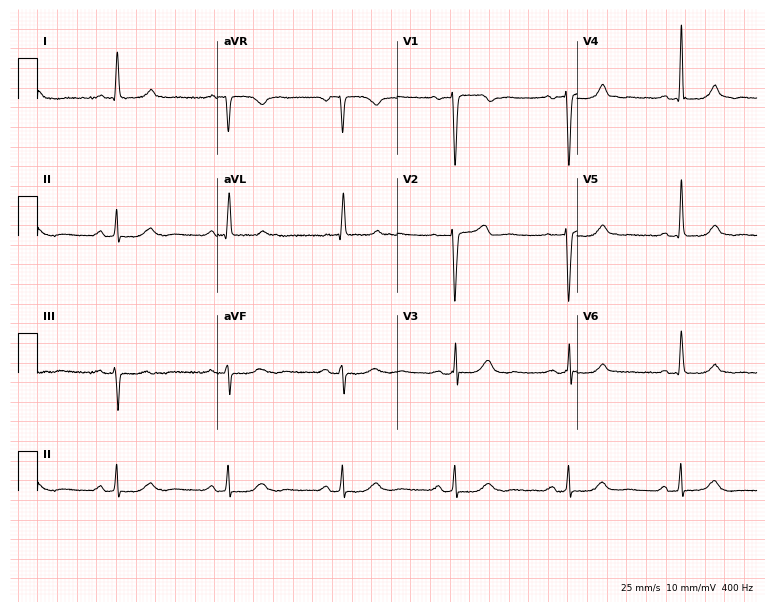
Electrocardiogram (7.3-second recording at 400 Hz), a 65-year-old female. Overall reading on record: normal ECG.